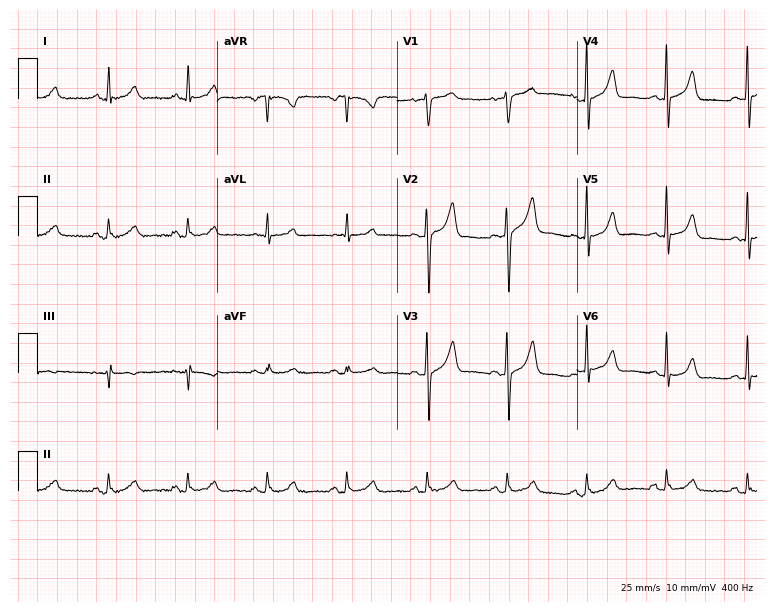
12-lead ECG from a female patient, 58 years old. Labelled as a normal ECG.